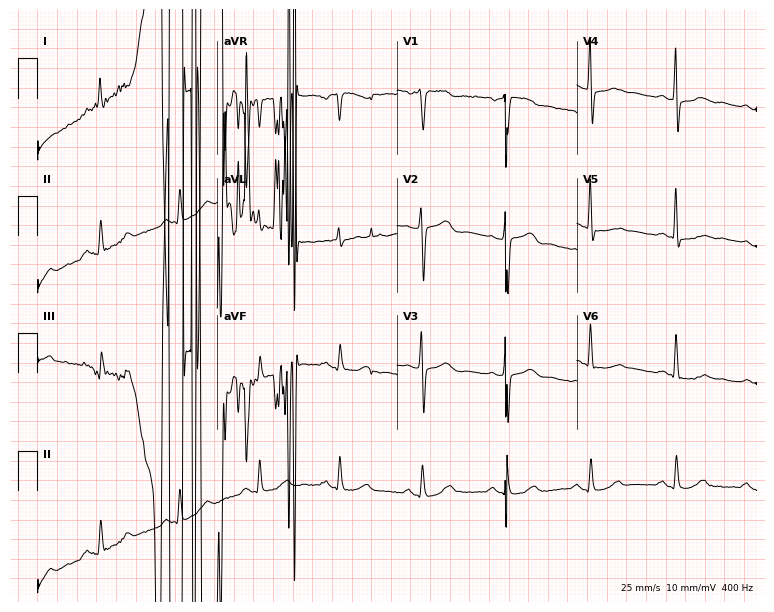
12-lead ECG from a male, 63 years old (7.3-second recording at 400 Hz). No first-degree AV block, right bundle branch block (RBBB), left bundle branch block (LBBB), sinus bradycardia, atrial fibrillation (AF) or sinus tachycardia recorded for this tracing.